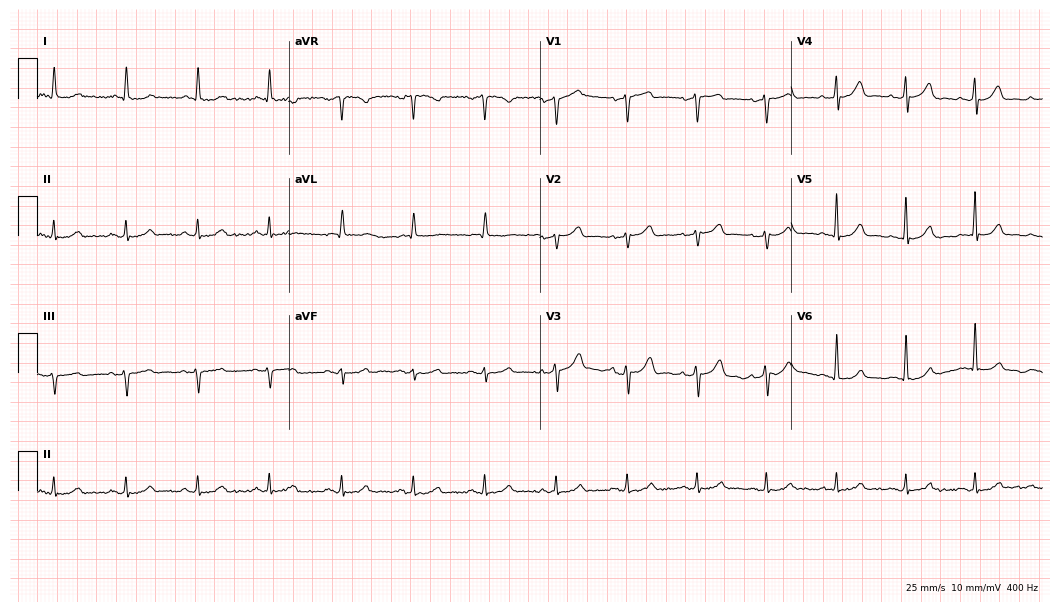
Standard 12-lead ECG recorded from a male patient, 83 years old (10.2-second recording at 400 Hz). None of these six findings is recorded: first-degree AV block, right bundle branch block (RBBB), left bundle branch block (LBBB), sinus bradycardia, atrial fibrillation (AF), sinus tachycardia.